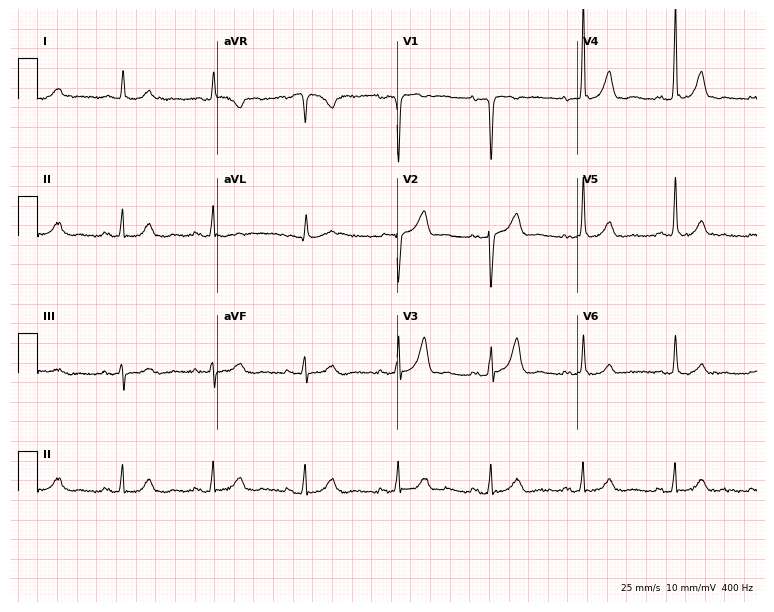
12-lead ECG from a man, 79 years old. Screened for six findings — first-degree AV block, right bundle branch block, left bundle branch block, sinus bradycardia, atrial fibrillation, sinus tachycardia — none is recorded.